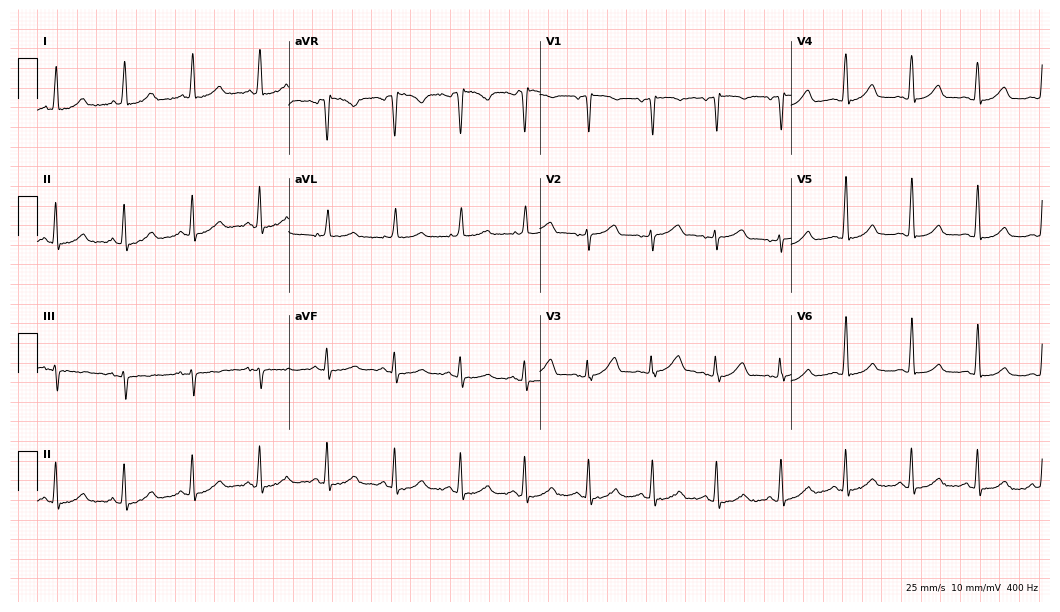
Electrocardiogram, a 65-year-old female. Of the six screened findings (first-degree AV block, right bundle branch block (RBBB), left bundle branch block (LBBB), sinus bradycardia, atrial fibrillation (AF), sinus tachycardia), none is recorded.